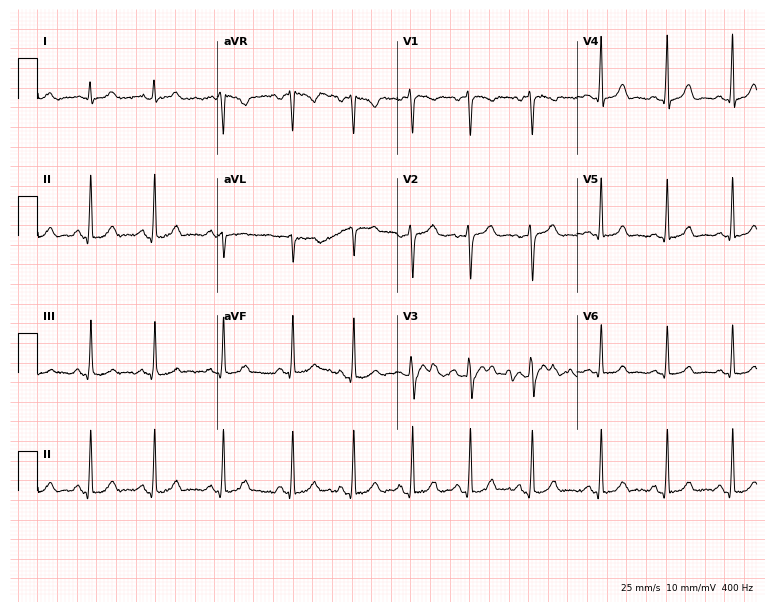
Standard 12-lead ECG recorded from a 22-year-old woman. Read as a normal ECG.